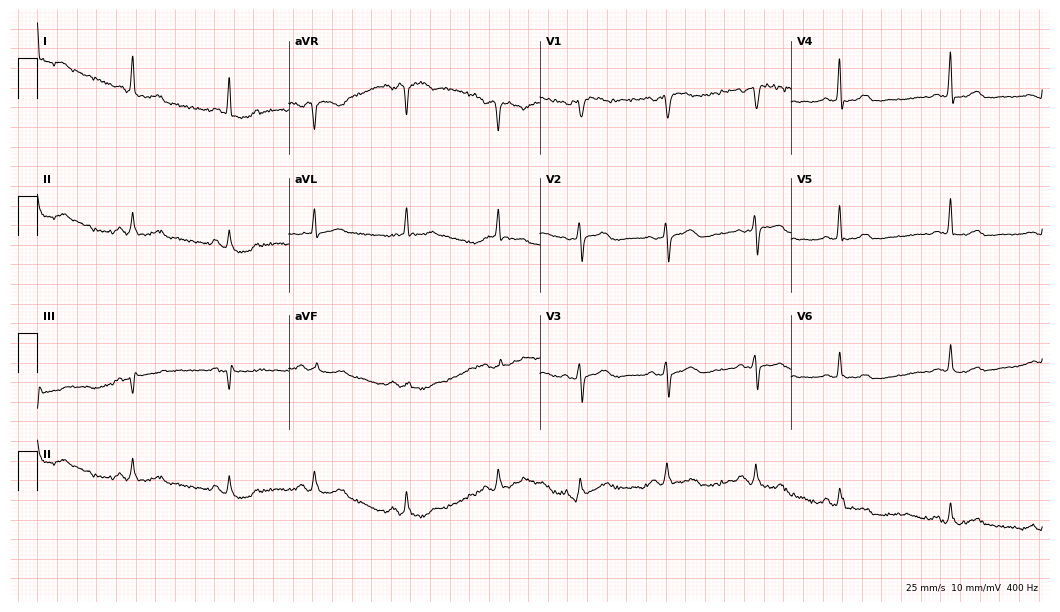
12-lead ECG from a 67-year-old female patient (10.2-second recording at 400 Hz). No first-degree AV block, right bundle branch block, left bundle branch block, sinus bradycardia, atrial fibrillation or sinus tachycardia recorded for this tracing. Other findings, if any, are not listed.